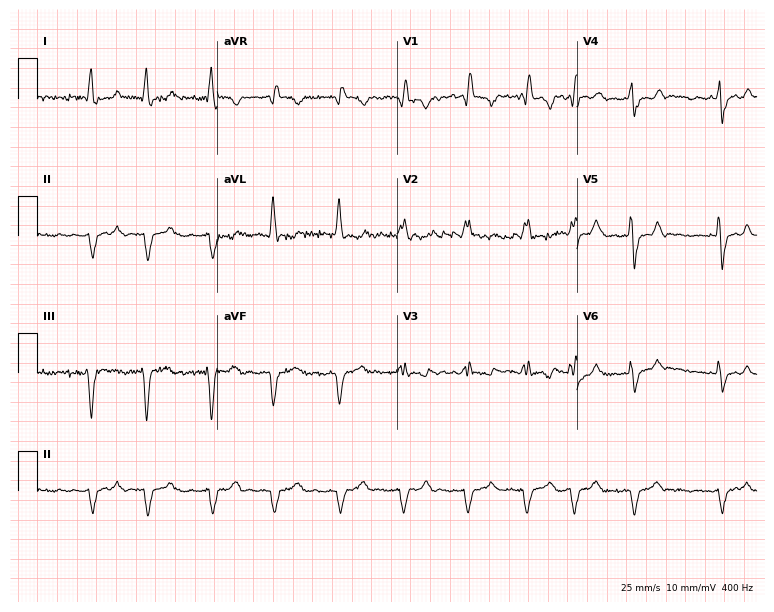
12-lead ECG from a 69-year-old male patient. Shows right bundle branch block (RBBB), atrial fibrillation (AF).